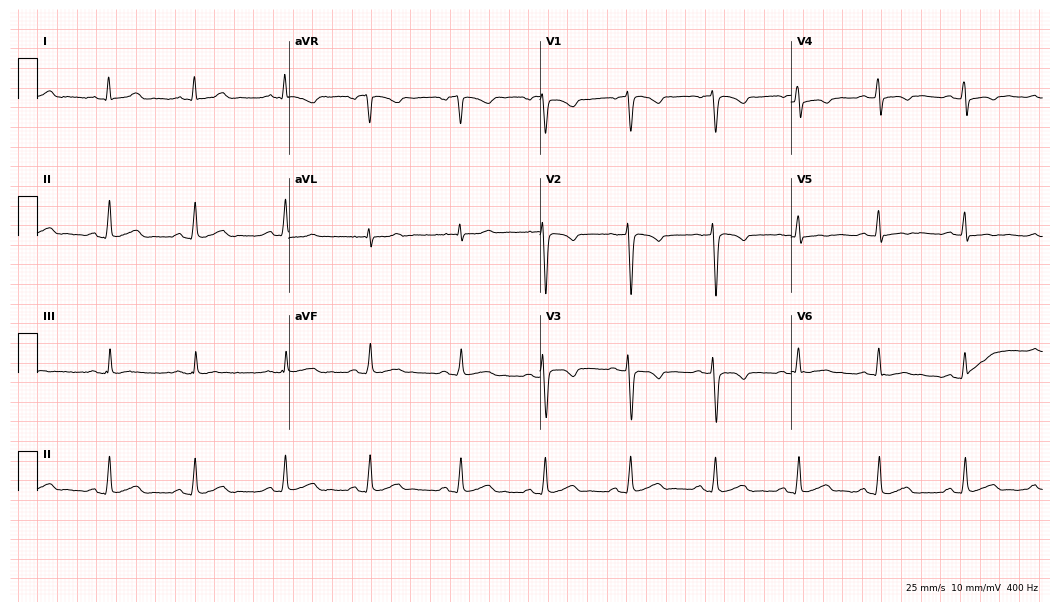
12-lead ECG (10.2-second recording at 400 Hz) from a female patient, 62 years old. Labelled as a normal ECG.